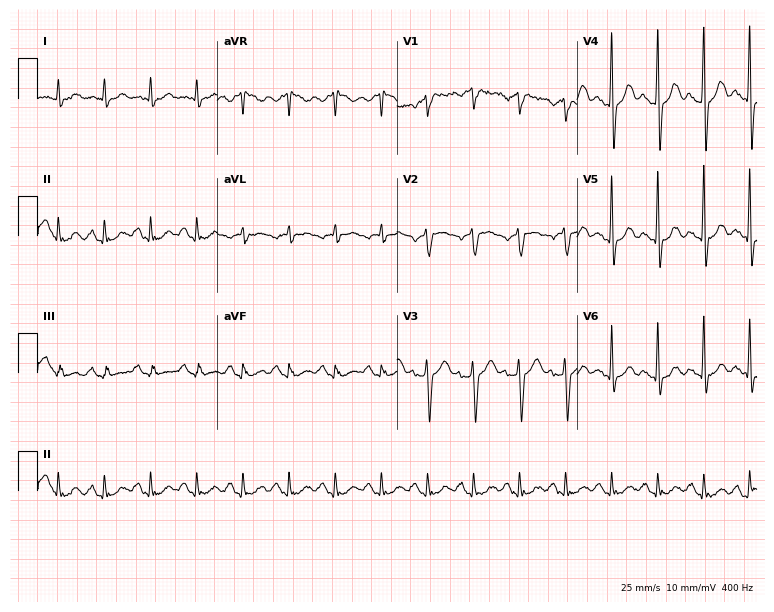
Resting 12-lead electrocardiogram. Patient: a 62-year-old man. The tracing shows sinus tachycardia (a sinus rate of 100 beats per minute or more).